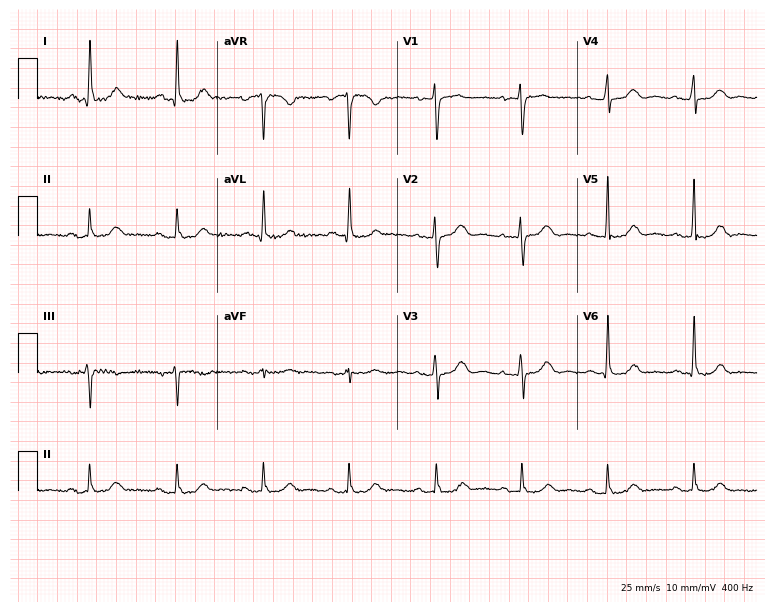
Electrocardiogram (7.3-second recording at 400 Hz), a female, 70 years old. Overall reading on record: normal ECG.